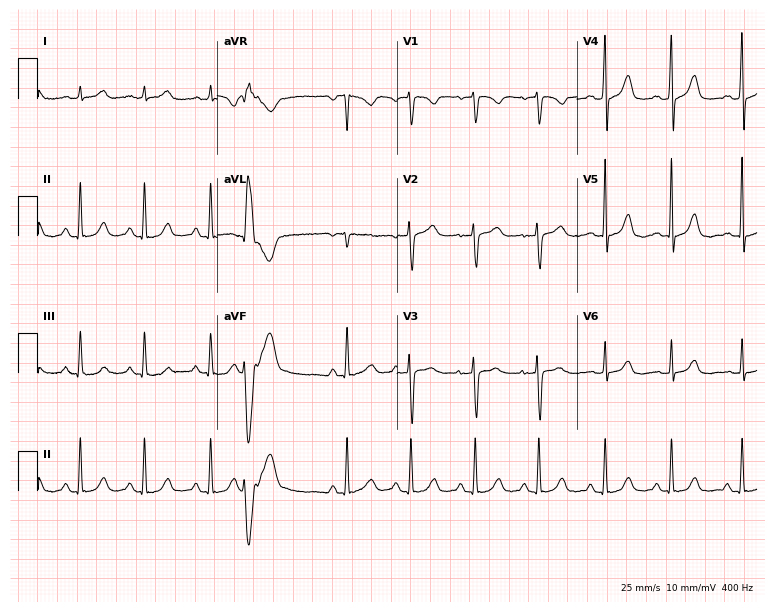
Resting 12-lead electrocardiogram (7.3-second recording at 400 Hz). Patient: a female, 48 years old. Read as a normal ECG.